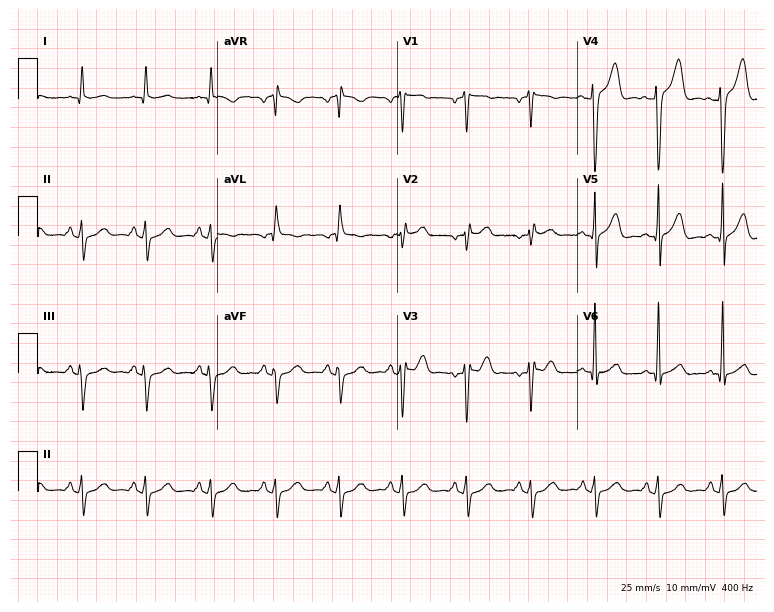
Electrocardiogram (7.3-second recording at 400 Hz), a male, 34 years old. Of the six screened findings (first-degree AV block, right bundle branch block, left bundle branch block, sinus bradycardia, atrial fibrillation, sinus tachycardia), none is recorded.